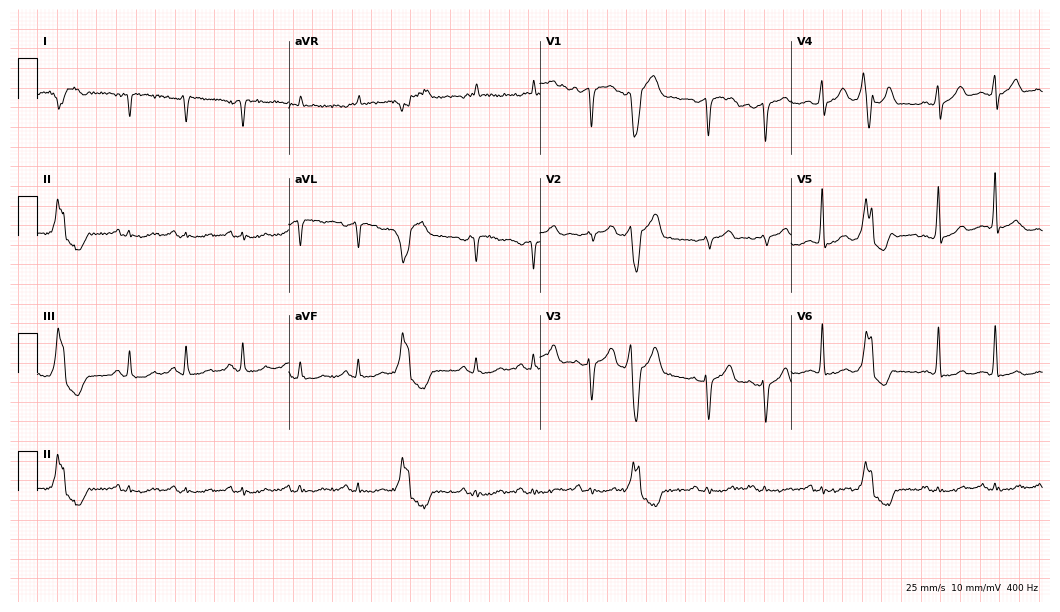
Resting 12-lead electrocardiogram (10.2-second recording at 400 Hz). Patient: a 69-year-old male. None of these six findings is recorded: first-degree AV block, right bundle branch block, left bundle branch block, sinus bradycardia, atrial fibrillation, sinus tachycardia.